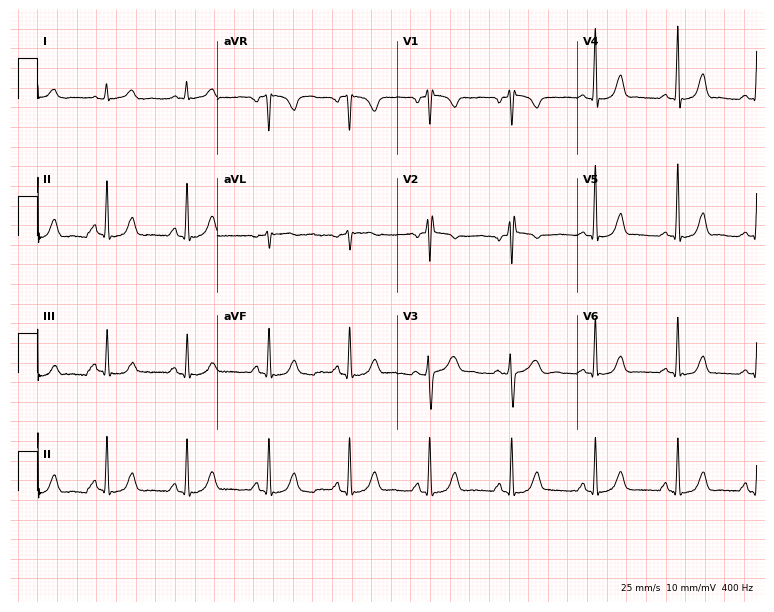
12-lead ECG from a 34-year-old woman. No first-degree AV block, right bundle branch block, left bundle branch block, sinus bradycardia, atrial fibrillation or sinus tachycardia recorded for this tracing. Only these six findings were labelled.